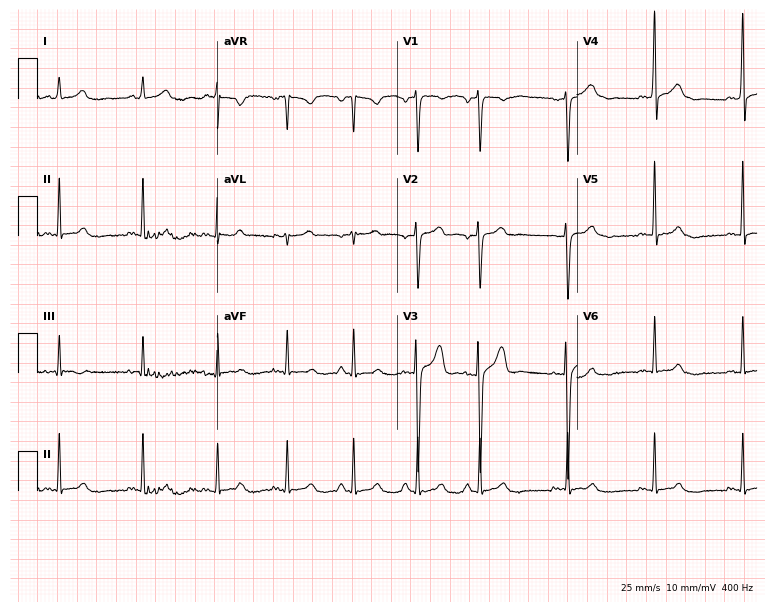
Resting 12-lead electrocardiogram (7.3-second recording at 400 Hz). Patient: a 33-year-old female. Read as a normal ECG.